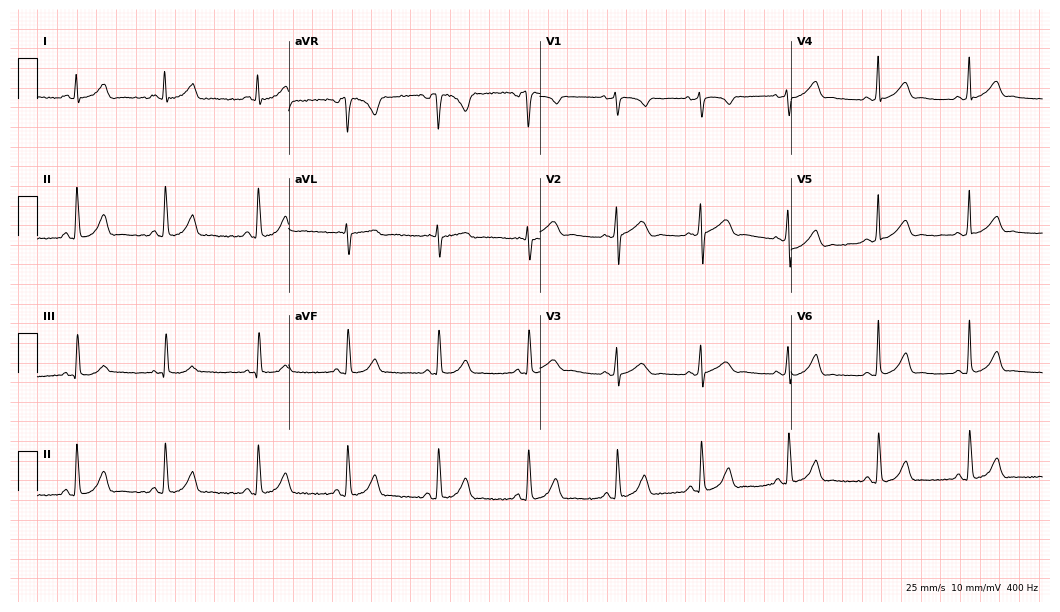
Resting 12-lead electrocardiogram (10.2-second recording at 400 Hz). Patient: a 21-year-old female. Read as a normal ECG.